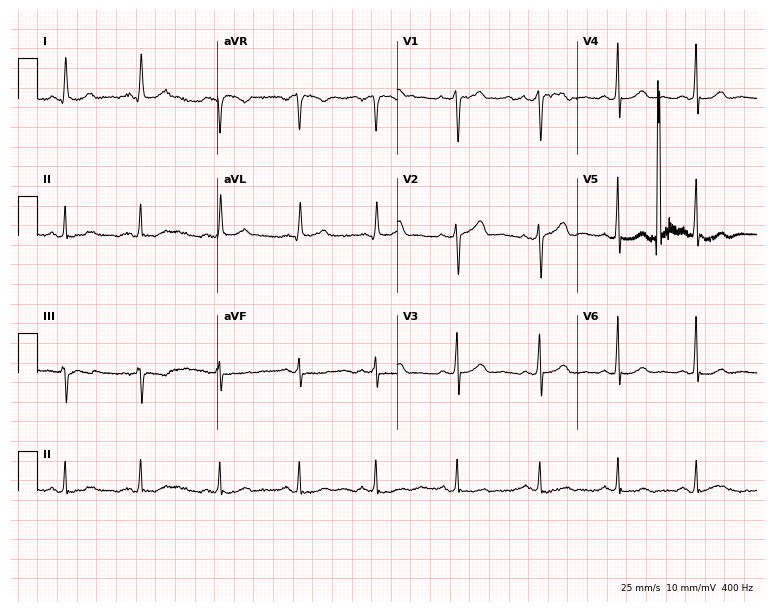
12-lead ECG from a female, 60 years old (7.3-second recording at 400 Hz). No first-degree AV block, right bundle branch block (RBBB), left bundle branch block (LBBB), sinus bradycardia, atrial fibrillation (AF) or sinus tachycardia recorded for this tracing.